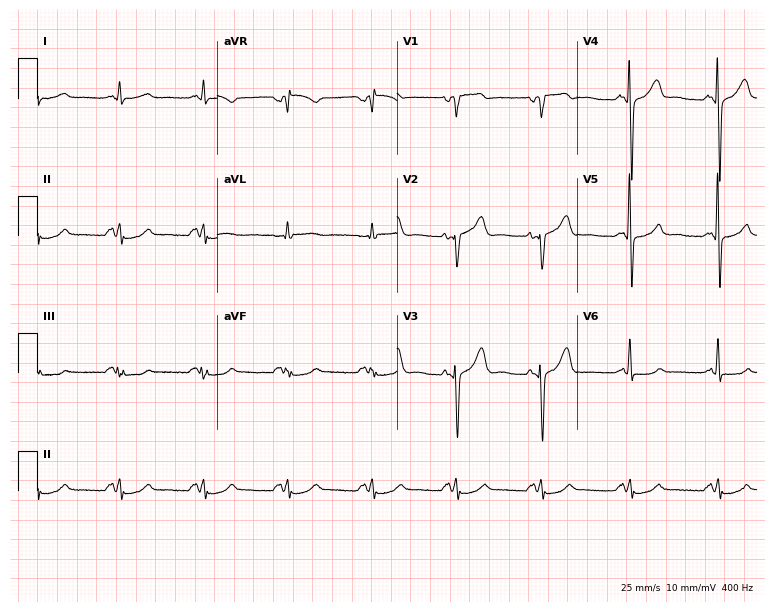
Electrocardiogram, a 61-year-old male. Overall reading on record: normal ECG.